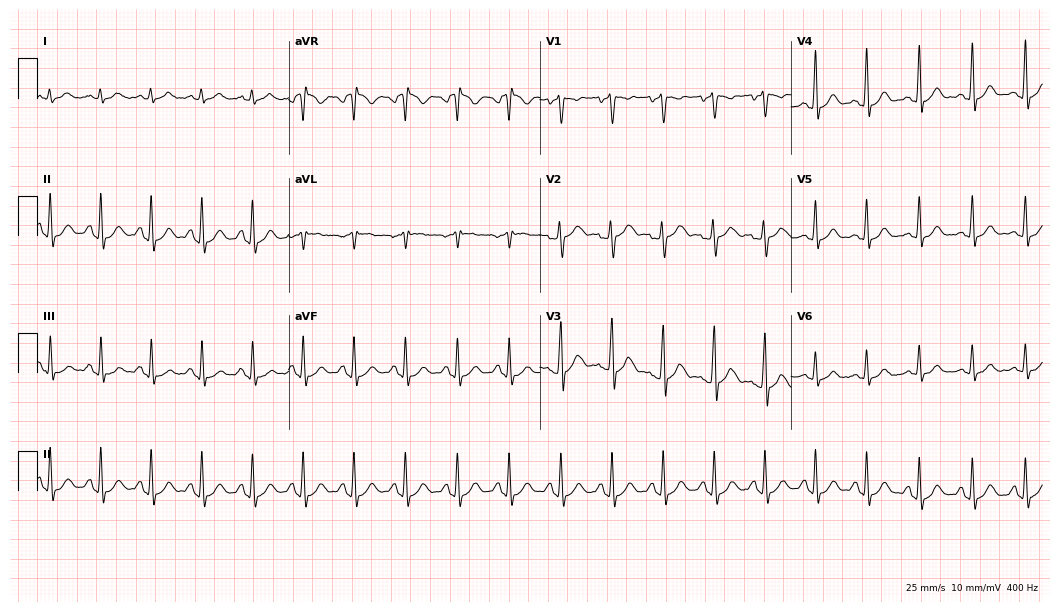
Resting 12-lead electrocardiogram. Patient: a 23-year-old male. The tracing shows sinus tachycardia (a sinus rate of 100 beats per minute or more).